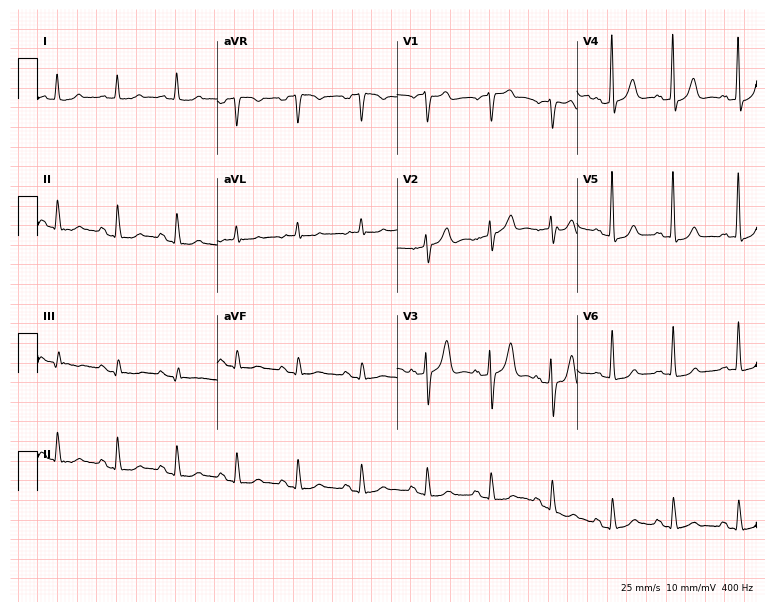
Electrocardiogram (7.3-second recording at 400 Hz), an 81-year-old man. Of the six screened findings (first-degree AV block, right bundle branch block, left bundle branch block, sinus bradycardia, atrial fibrillation, sinus tachycardia), none is recorded. Only these six findings were labelled.